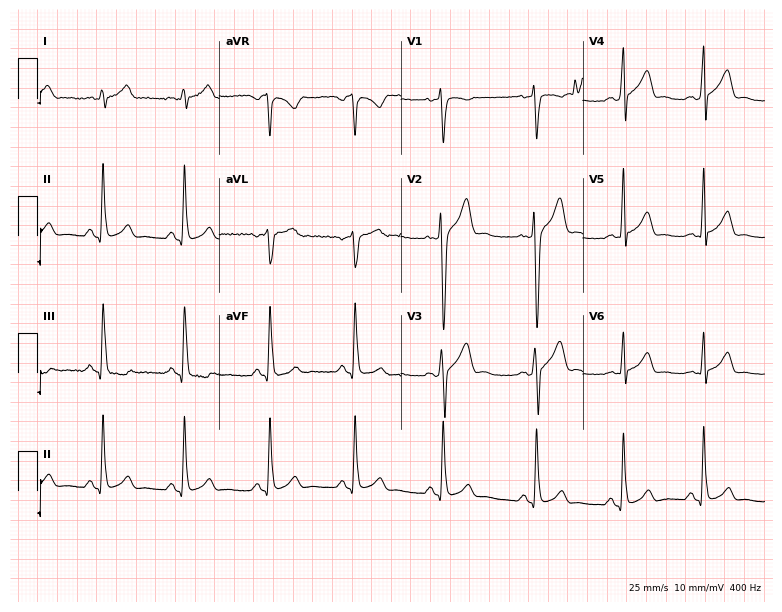
ECG (7.4-second recording at 400 Hz) — a 19-year-old man. Screened for six findings — first-degree AV block, right bundle branch block (RBBB), left bundle branch block (LBBB), sinus bradycardia, atrial fibrillation (AF), sinus tachycardia — none is recorded. Other findings, if any, are not listed.